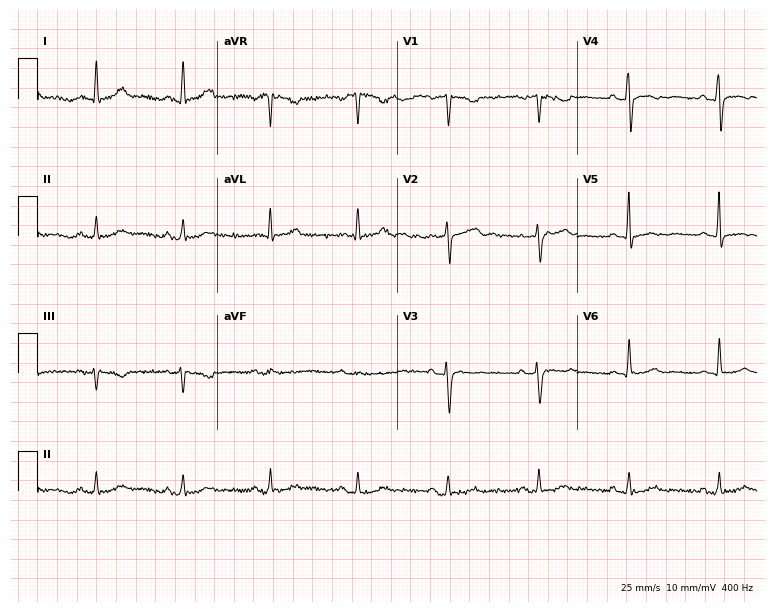
Standard 12-lead ECG recorded from a 55-year-old male patient (7.3-second recording at 400 Hz). None of these six findings is recorded: first-degree AV block, right bundle branch block, left bundle branch block, sinus bradycardia, atrial fibrillation, sinus tachycardia. Only these six findings were labelled.